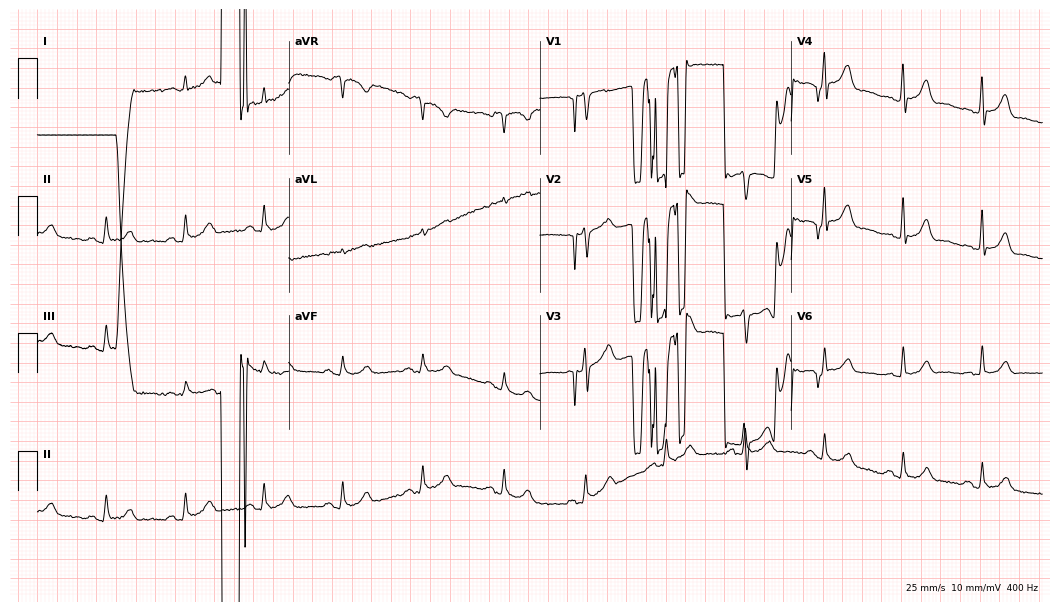
12-lead ECG (10.2-second recording at 400 Hz) from a male patient, 53 years old. Screened for six findings — first-degree AV block, right bundle branch block (RBBB), left bundle branch block (LBBB), sinus bradycardia, atrial fibrillation (AF), sinus tachycardia — none is recorded.